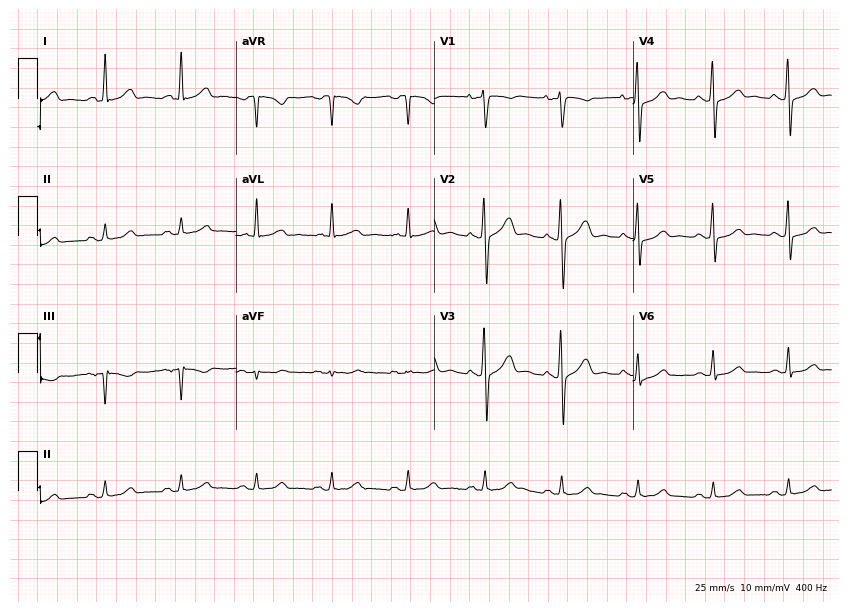
Electrocardiogram (8.1-second recording at 400 Hz), a 58-year-old female patient. Overall reading on record: normal ECG.